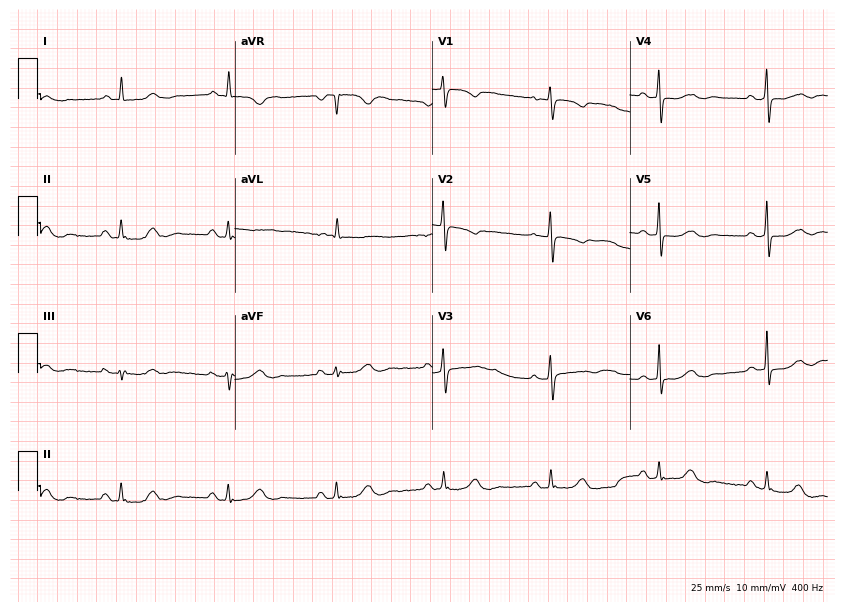
12-lead ECG from a female, 74 years old (8.1-second recording at 400 Hz). No first-degree AV block, right bundle branch block, left bundle branch block, sinus bradycardia, atrial fibrillation or sinus tachycardia recorded for this tracing.